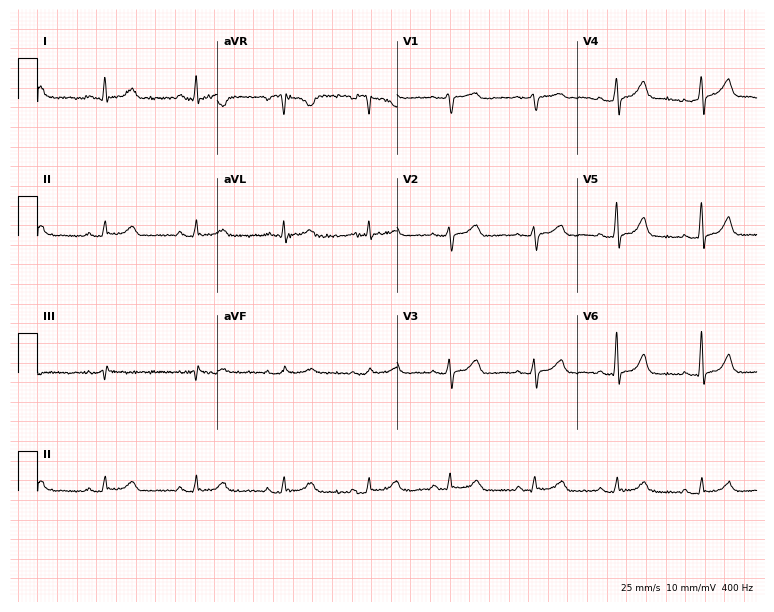
ECG (7.3-second recording at 400 Hz) — a female patient, 49 years old. Labelled as a normal ECG.